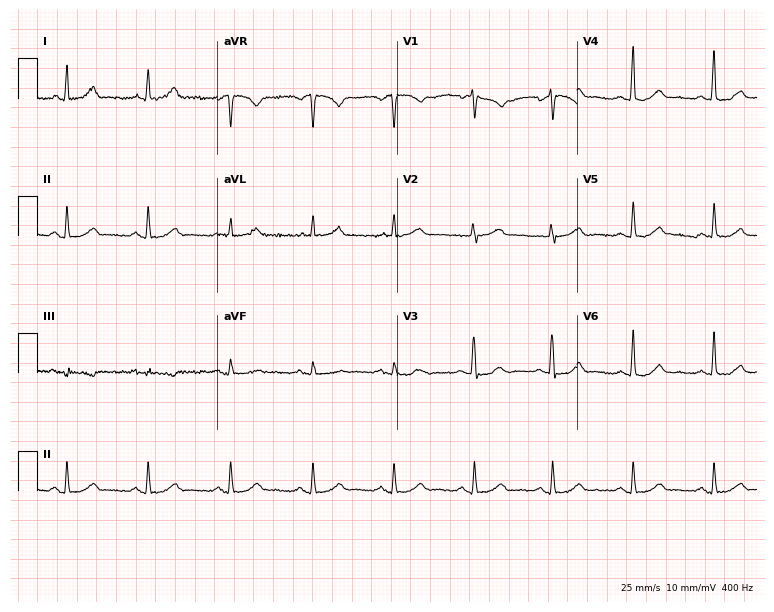
12-lead ECG from a 58-year-old female patient. Recorded interpretation: within normal limits.